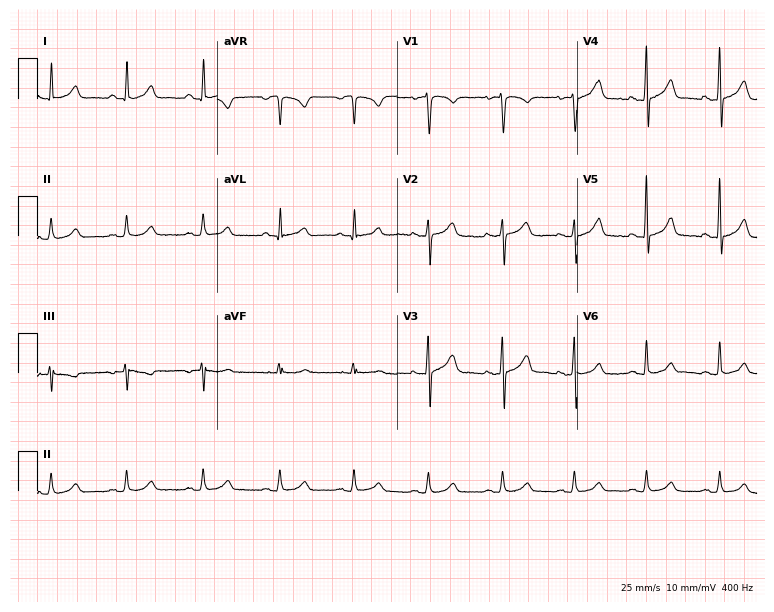
Resting 12-lead electrocardiogram. Patient: a female, 44 years old. Read as a normal ECG.